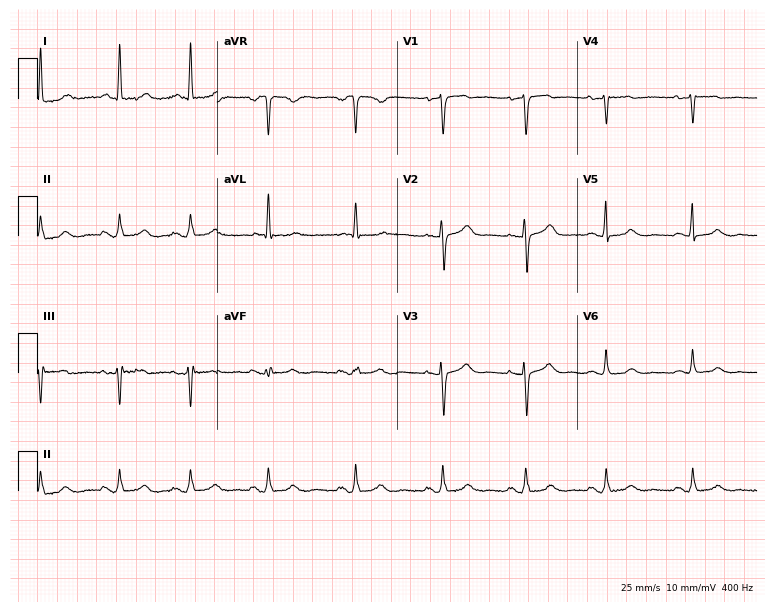
Electrocardiogram (7.3-second recording at 400 Hz), a 64-year-old female. Of the six screened findings (first-degree AV block, right bundle branch block, left bundle branch block, sinus bradycardia, atrial fibrillation, sinus tachycardia), none is recorded. Only these six findings were labelled.